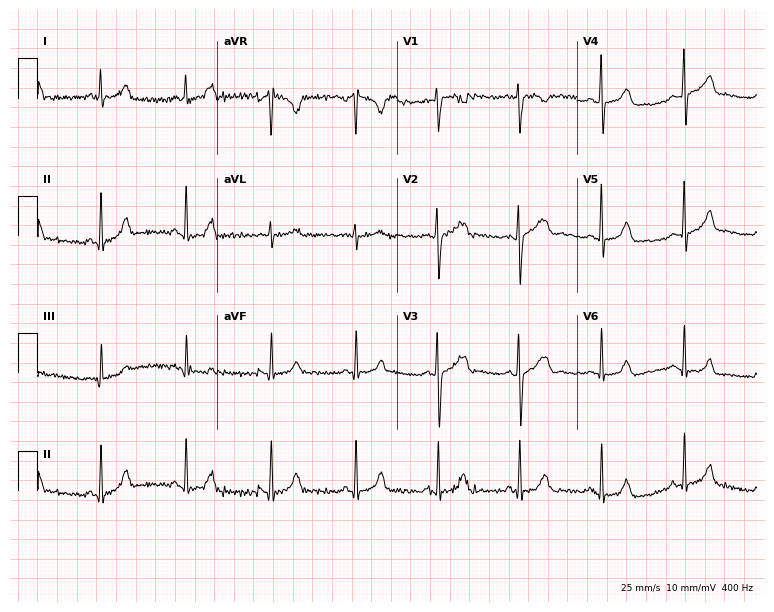
12-lead ECG (7.3-second recording at 400 Hz) from a woman, 30 years old. Labelled as a normal ECG.